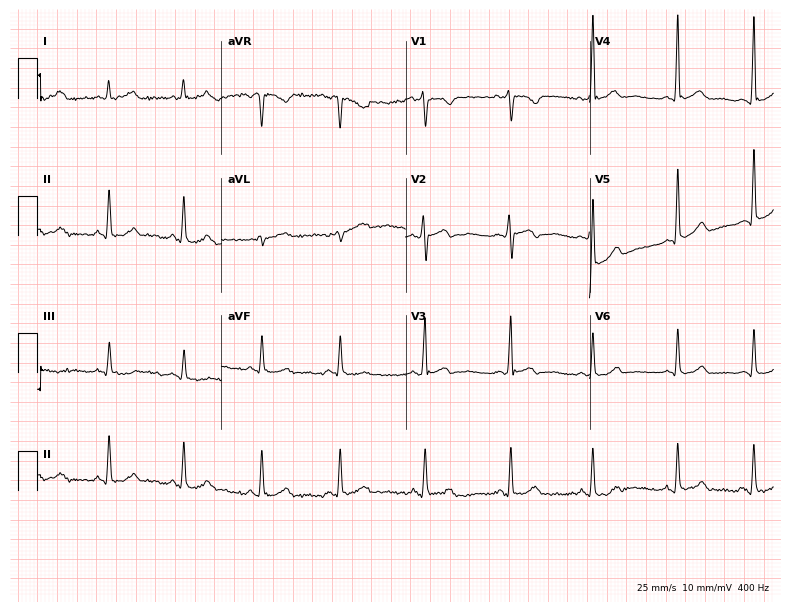
Standard 12-lead ECG recorded from a 33-year-old female patient. None of these six findings is recorded: first-degree AV block, right bundle branch block (RBBB), left bundle branch block (LBBB), sinus bradycardia, atrial fibrillation (AF), sinus tachycardia. Findings outside these six are not listed.